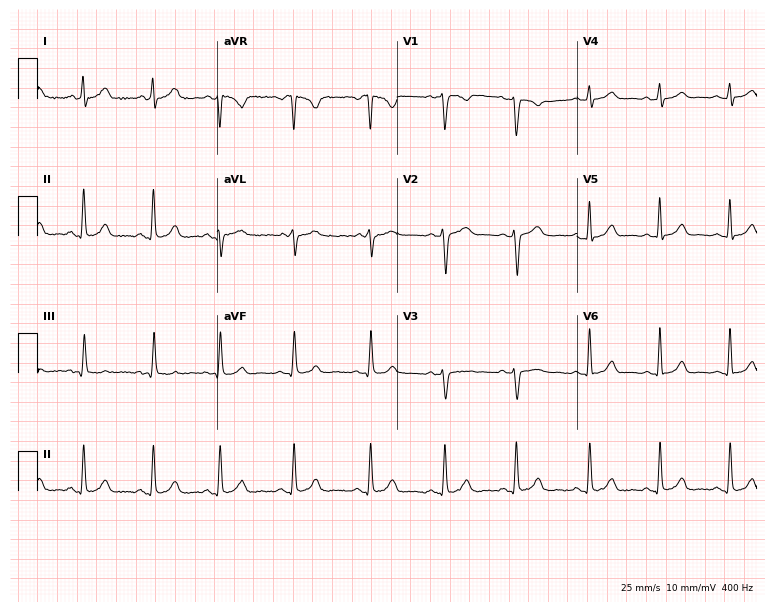
Electrocardiogram (7.3-second recording at 400 Hz), a woman, 29 years old. Of the six screened findings (first-degree AV block, right bundle branch block, left bundle branch block, sinus bradycardia, atrial fibrillation, sinus tachycardia), none is recorded.